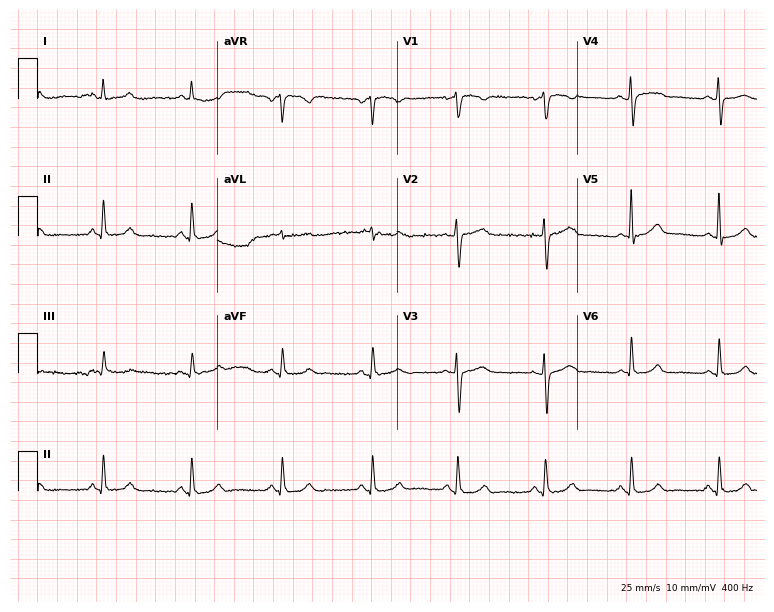
Standard 12-lead ECG recorded from a 47-year-old woman. Read as a normal ECG.